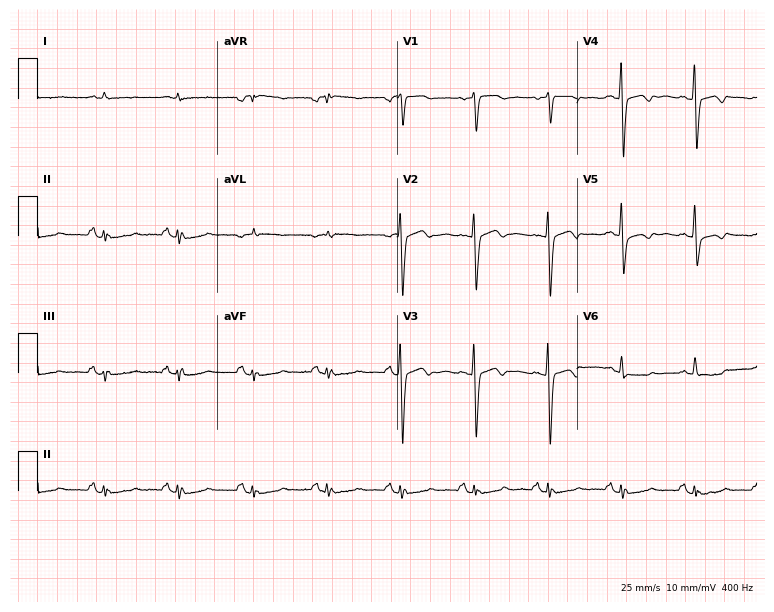
ECG (7.3-second recording at 400 Hz) — an 80-year-old female. Screened for six findings — first-degree AV block, right bundle branch block (RBBB), left bundle branch block (LBBB), sinus bradycardia, atrial fibrillation (AF), sinus tachycardia — none is recorded.